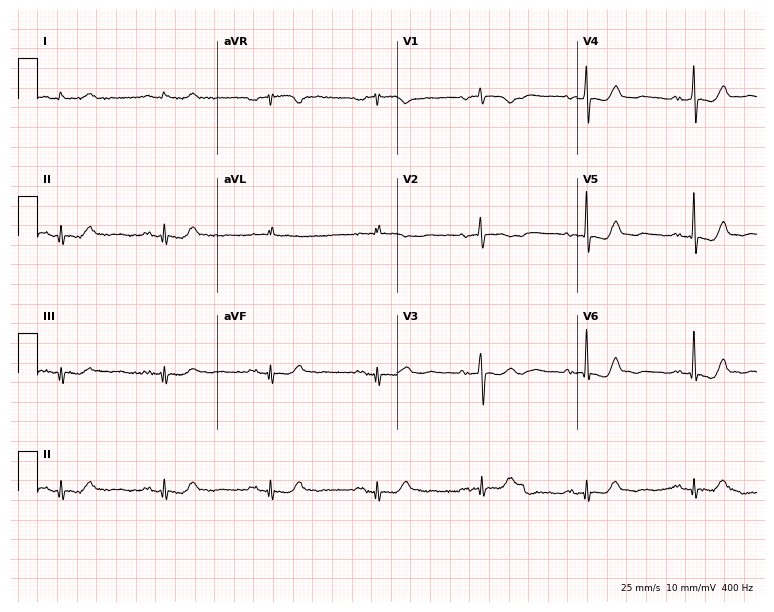
12-lead ECG (7.3-second recording at 400 Hz) from an 84-year-old female. Screened for six findings — first-degree AV block, right bundle branch block, left bundle branch block, sinus bradycardia, atrial fibrillation, sinus tachycardia — none is recorded.